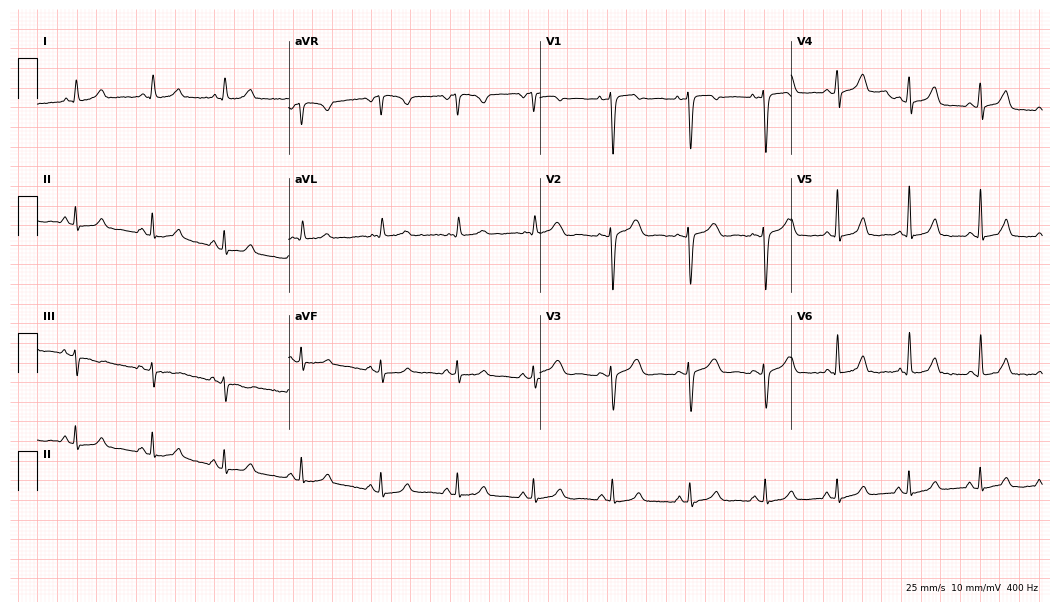
Electrocardiogram (10.2-second recording at 400 Hz), a female, 44 years old. Of the six screened findings (first-degree AV block, right bundle branch block, left bundle branch block, sinus bradycardia, atrial fibrillation, sinus tachycardia), none is recorded. Only these six findings were labelled.